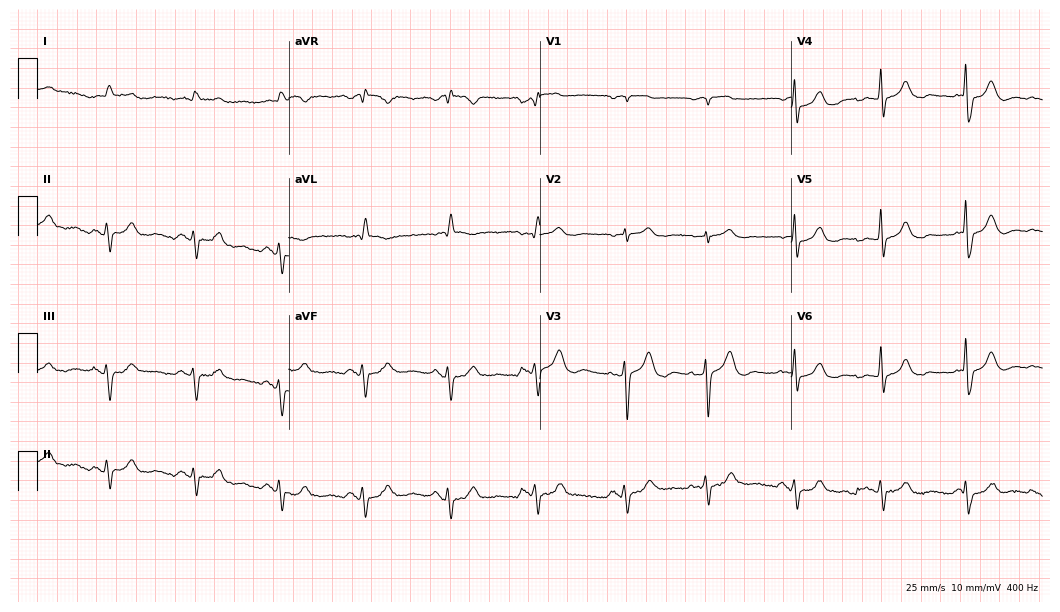
Electrocardiogram, a male, 85 years old. Overall reading on record: normal ECG.